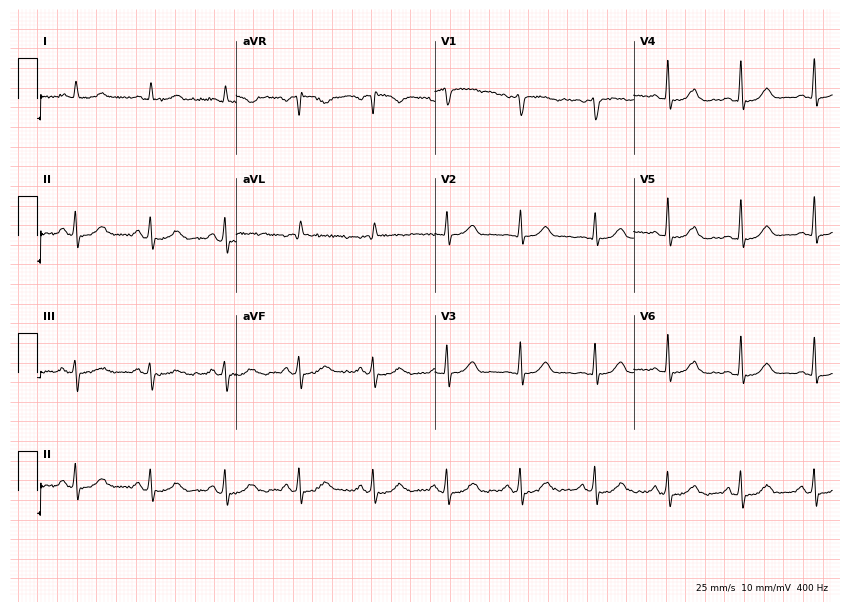
12-lead ECG from a 68-year-old male. Labelled as a normal ECG.